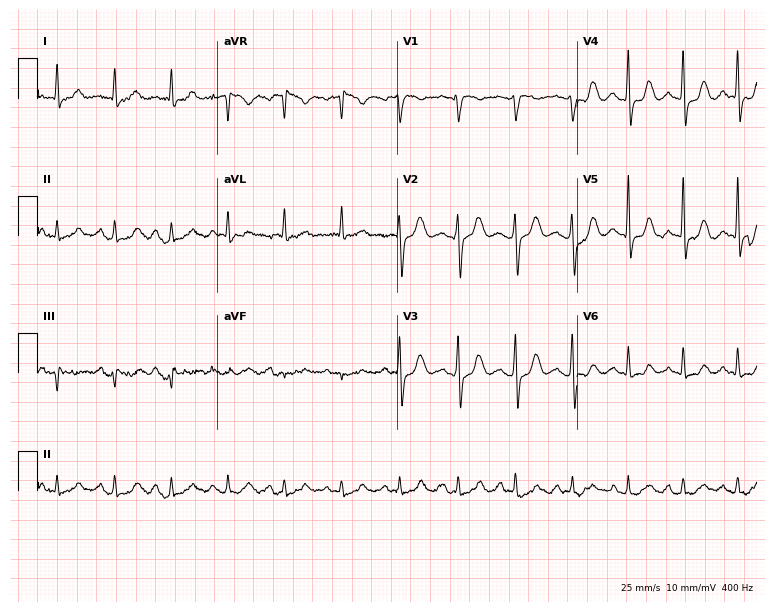
Electrocardiogram, a 62-year-old woman. Interpretation includes sinus tachycardia (a sinus rate of 100 beats per minute or more).